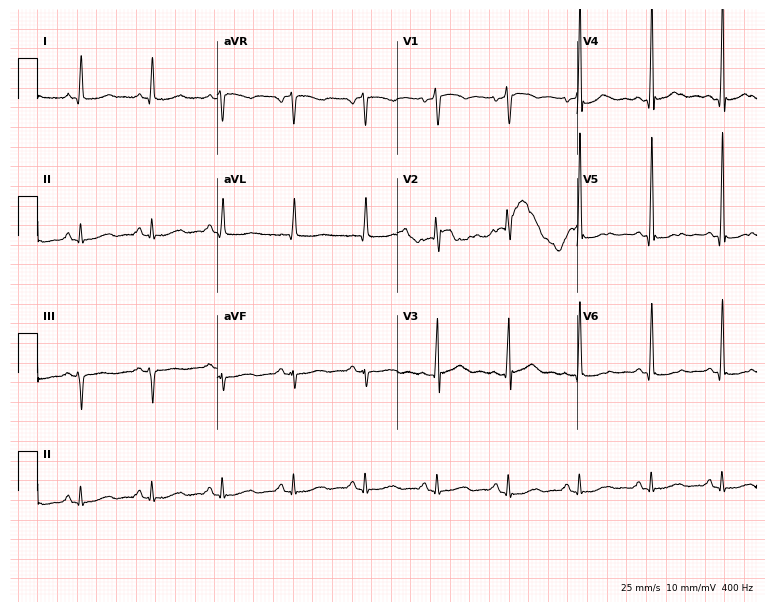
Resting 12-lead electrocardiogram. Patient: a 67-year-old male. None of these six findings is recorded: first-degree AV block, right bundle branch block (RBBB), left bundle branch block (LBBB), sinus bradycardia, atrial fibrillation (AF), sinus tachycardia. Findings outside these six are not listed.